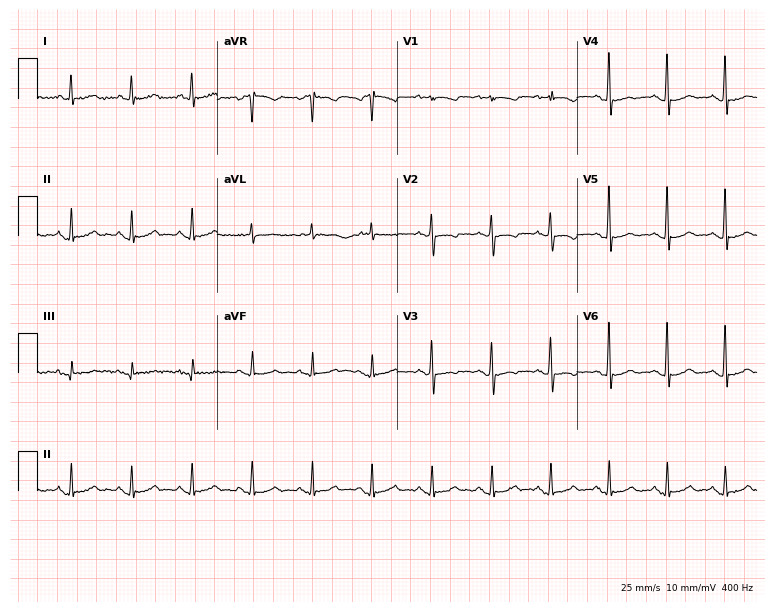
Electrocardiogram (7.3-second recording at 400 Hz), a 72-year-old female patient. Of the six screened findings (first-degree AV block, right bundle branch block (RBBB), left bundle branch block (LBBB), sinus bradycardia, atrial fibrillation (AF), sinus tachycardia), none is recorded. Only these six findings were labelled.